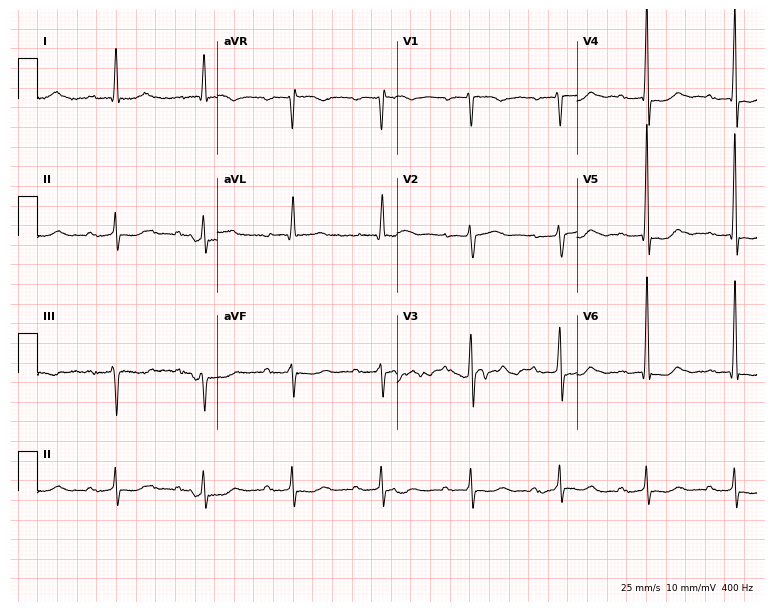
Resting 12-lead electrocardiogram (7.3-second recording at 400 Hz). Patient: a male, 66 years old. None of these six findings is recorded: first-degree AV block, right bundle branch block (RBBB), left bundle branch block (LBBB), sinus bradycardia, atrial fibrillation (AF), sinus tachycardia.